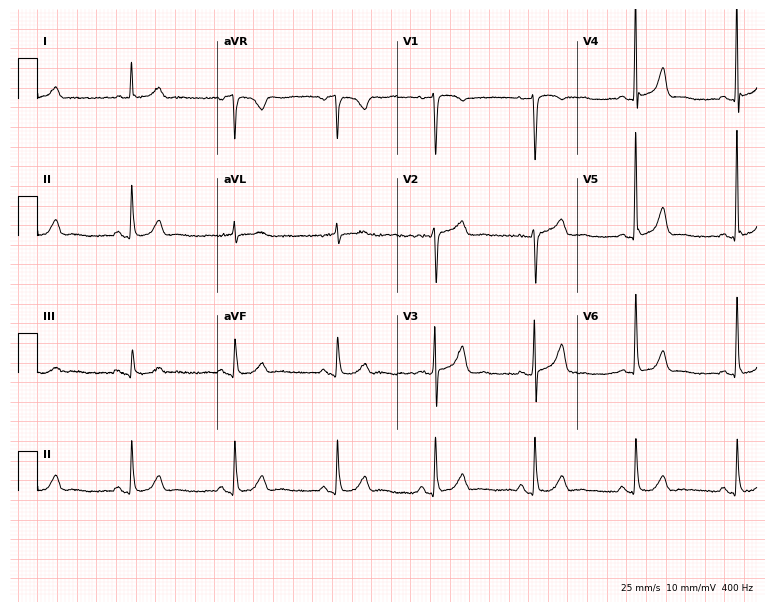
ECG (7.3-second recording at 400 Hz) — a 78-year-old female patient. Labelled as a normal ECG.